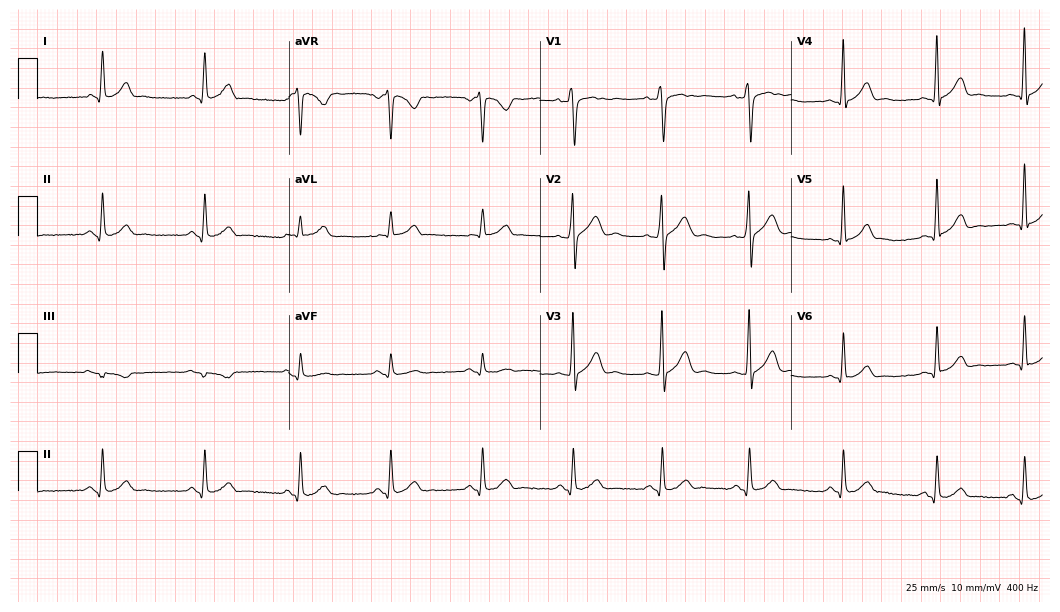
12-lead ECG from a male patient, 35 years old (10.2-second recording at 400 Hz). Recorded interpretation: within normal limits.